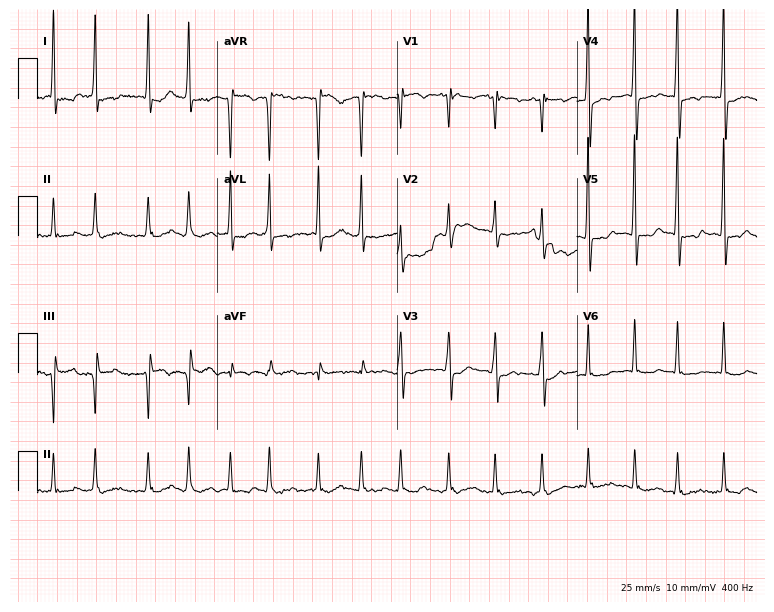
12-lead ECG from a woman, 74 years old. Screened for six findings — first-degree AV block, right bundle branch block, left bundle branch block, sinus bradycardia, atrial fibrillation, sinus tachycardia — none is recorded.